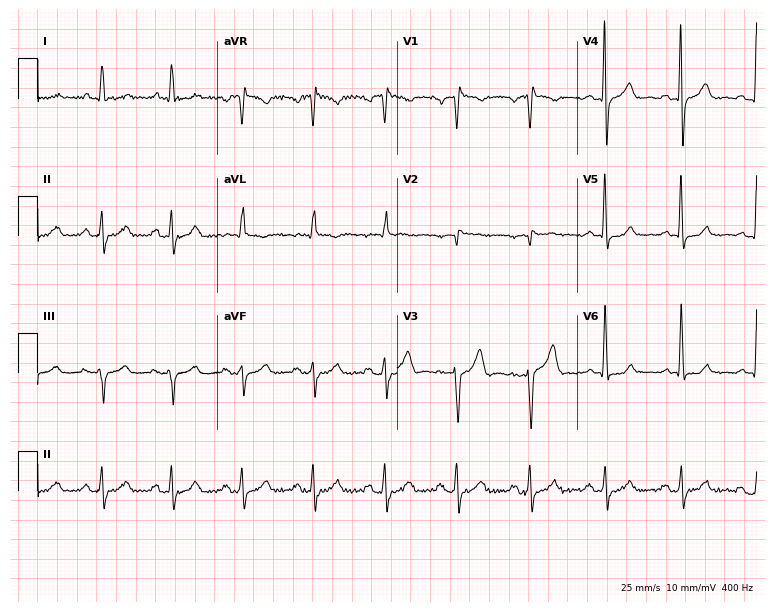
Standard 12-lead ECG recorded from a 70-year-old male patient (7.3-second recording at 400 Hz). None of these six findings is recorded: first-degree AV block, right bundle branch block (RBBB), left bundle branch block (LBBB), sinus bradycardia, atrial fibrillation (AF), sinus tachycardia.